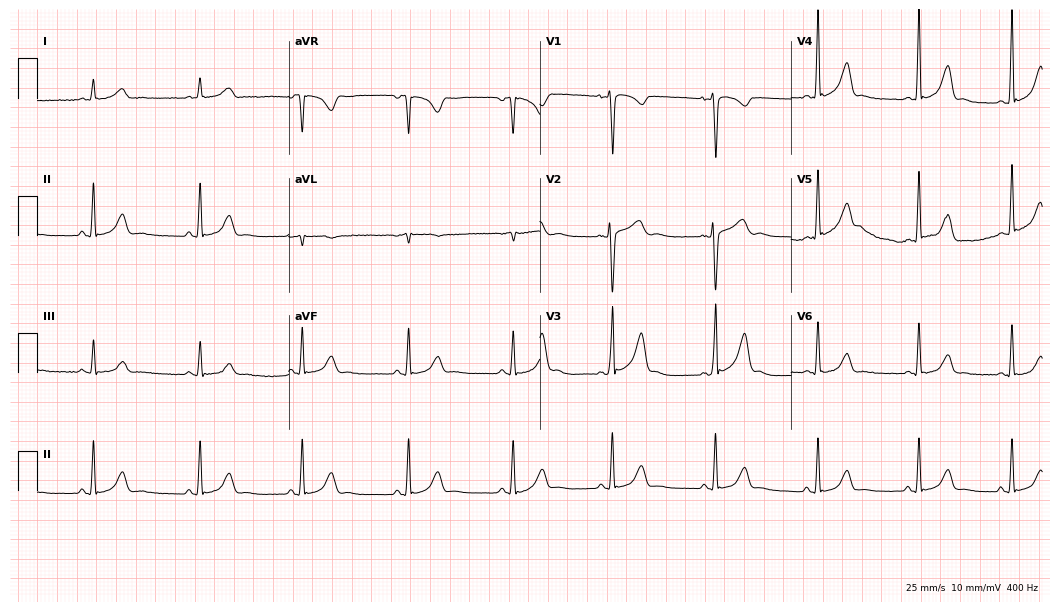
Standard 12-lead ECG recorded from a 26-year-old female. None of these six findings is recorded: first-degree AV block, right bundle branch block, left bundle branch block, sinus bradycardia, atrial fibrillation, sinus tachycardia.